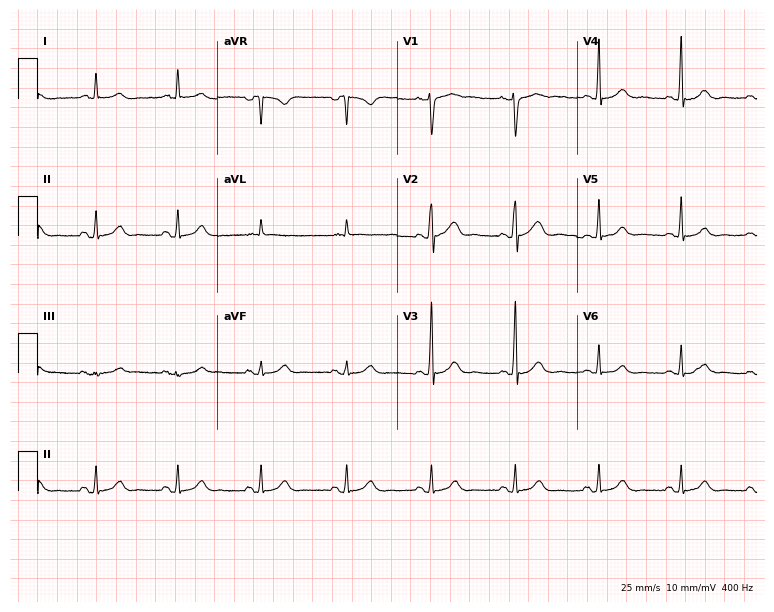
12-lead ECG (7.3-second recording at 400 Hz) from a 49-year-old male patient. Screened for six findings — first-degree AV block, right bundle branch block, left bundle branch block, sinus bradycardia, atrial fibrillation, sinus tachycardia — none is recorded.